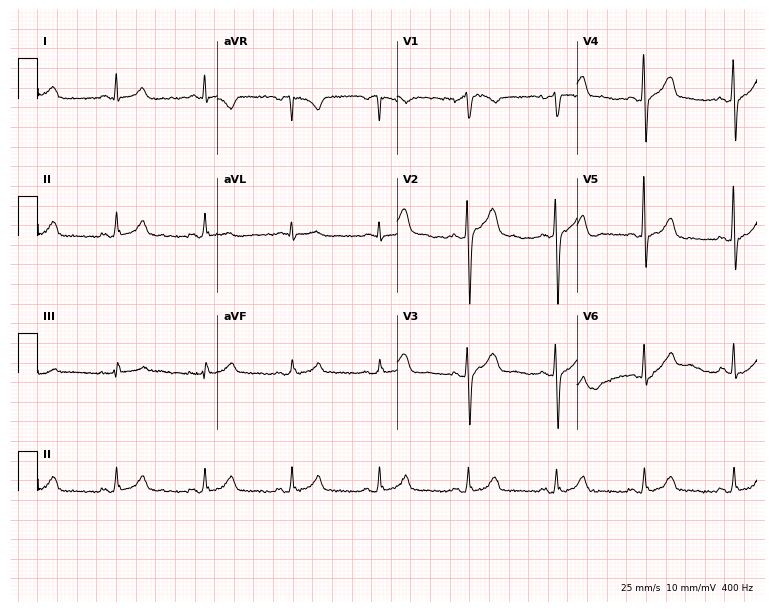
Electrocardiogram (7.3-second recording at 400 Hz), a female patient, 63 years old. Of the six screened findings (first-degree AV block, right bundle branch block (RBBB), left bundle branch block (LBBB), sinus bradycardia, atrial fibrillation (AF), sinus tachycardia), none is recorded. Only these six findings were labelled.